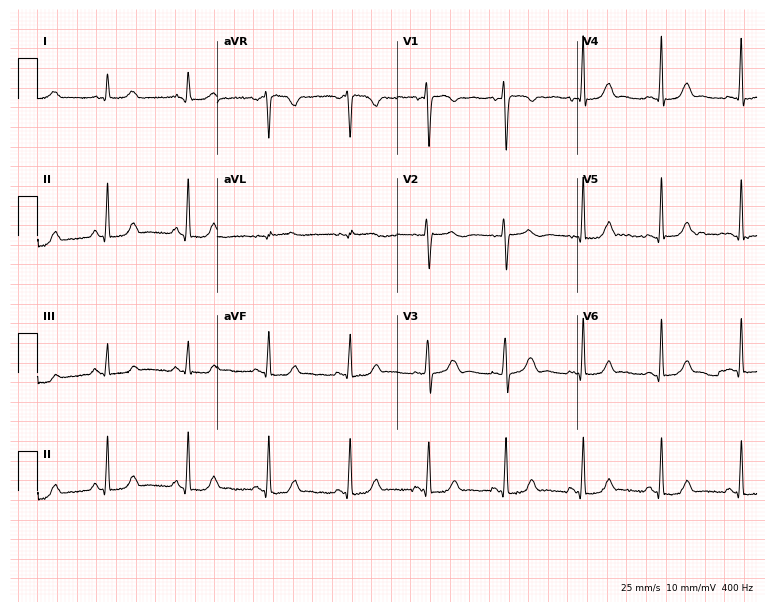
Electrocardiogram (7.3-second recording at 400 Hz), a female, 30 years old. Overall reading on record: normal ECG.